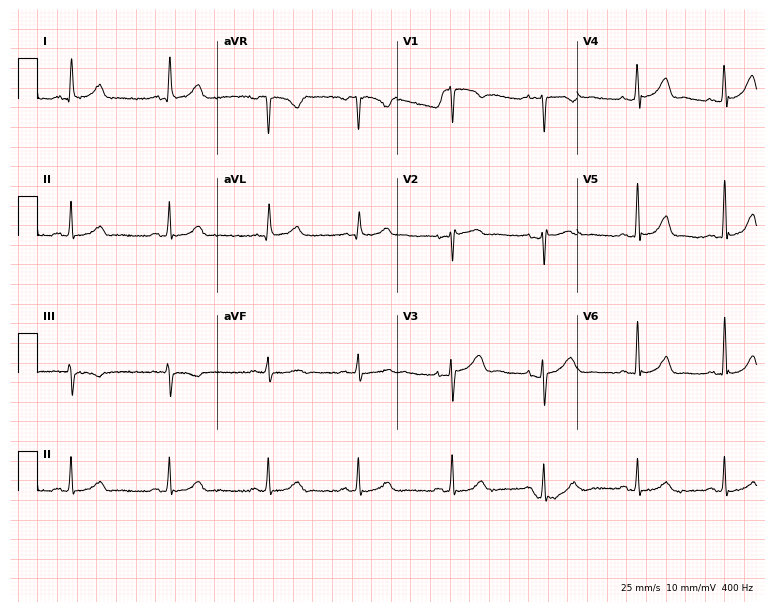
Resting 12-lead electrocardiogram. Patient: a 44-year-old female. Read as a normal ECG.